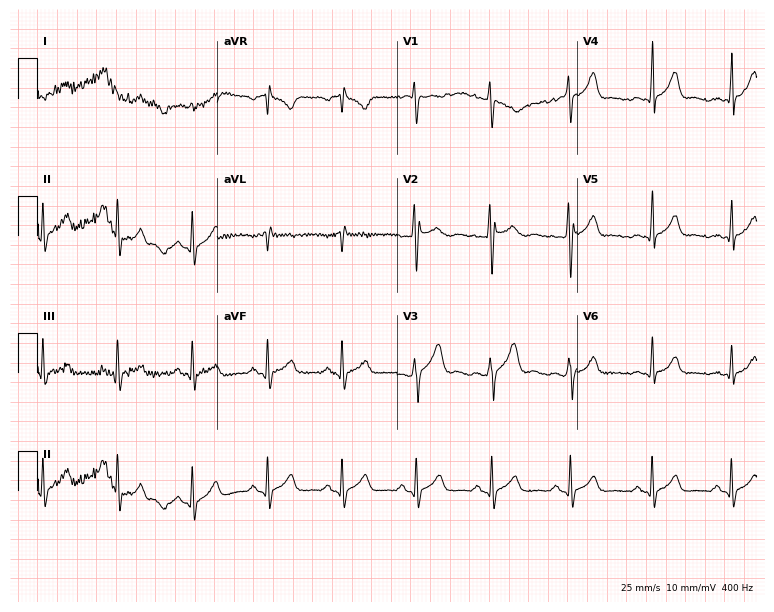
Resting 12-lead electrocardiogram. Patient: a 22-year-old man. None of these six findings is recorded: first-degree AV block, right bundle branch block, left bundle branch block, sinus bradycardia, atrial fibrillation, sinus tachycardia. Findings outside these six are not listed.